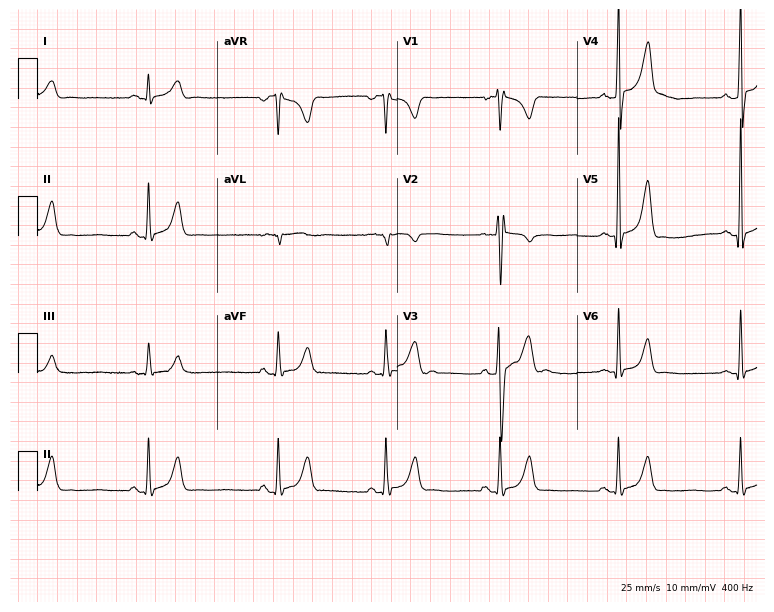
12-lead ECG from a man, 20 years old. Screened for six findings — first-degree AV block, right bundle branch block (RBBB), left bundle branch block (LBBB), sinus bradycardia, atrial fibrillation (AF), sinus tachycardia — none is recorded.